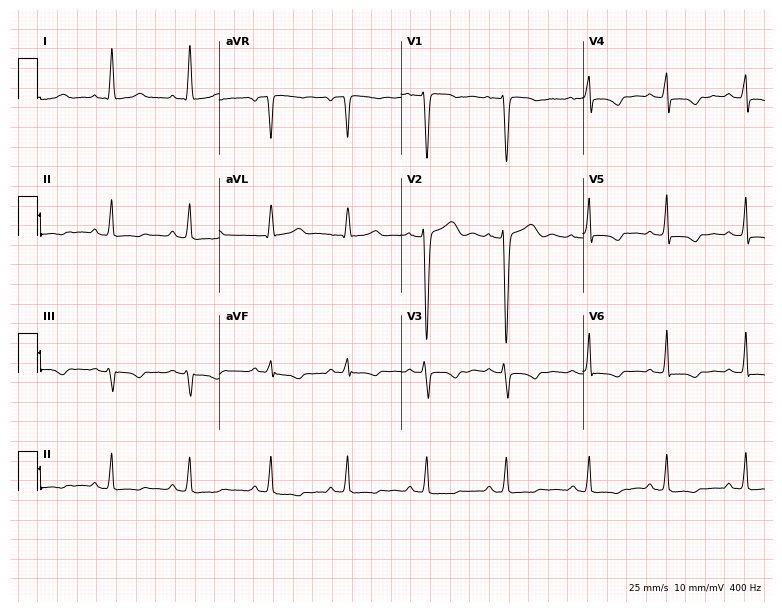
12-lead ECG from a female patient, 40 years old (7.4-second recording at 400 Hz). No first-degree AV block, right bundle branch block (RBBB), left bundle branch block (LBBB), sinus bradycardia, atrial fibrillation (AF) or sinus tachycardia recorded for this tracing.